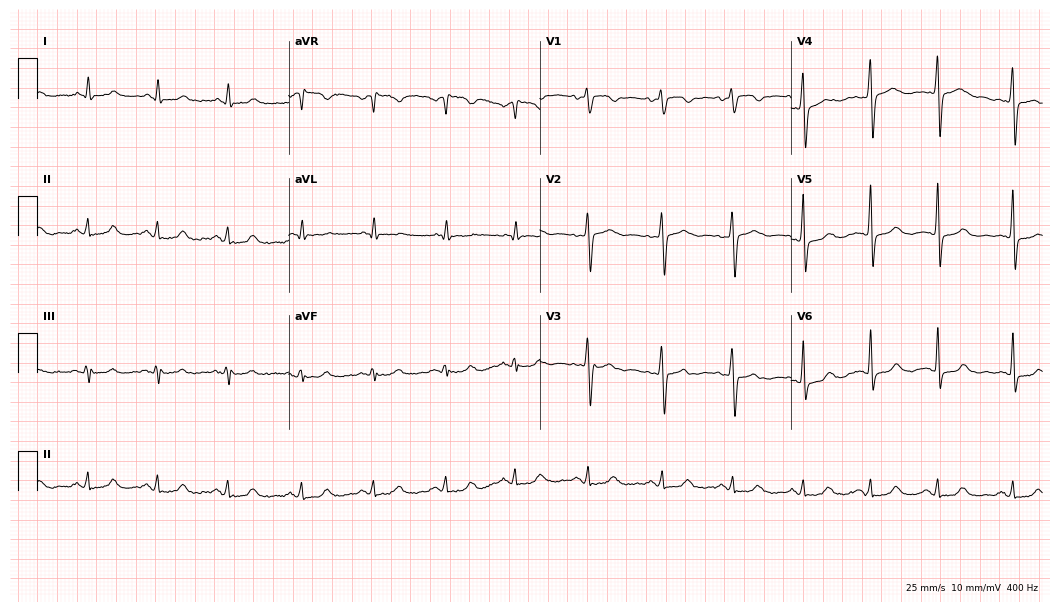
Resting 12-lead electrocardiogram. Patient: a woman, 35 years old. Read as a normal ECG.